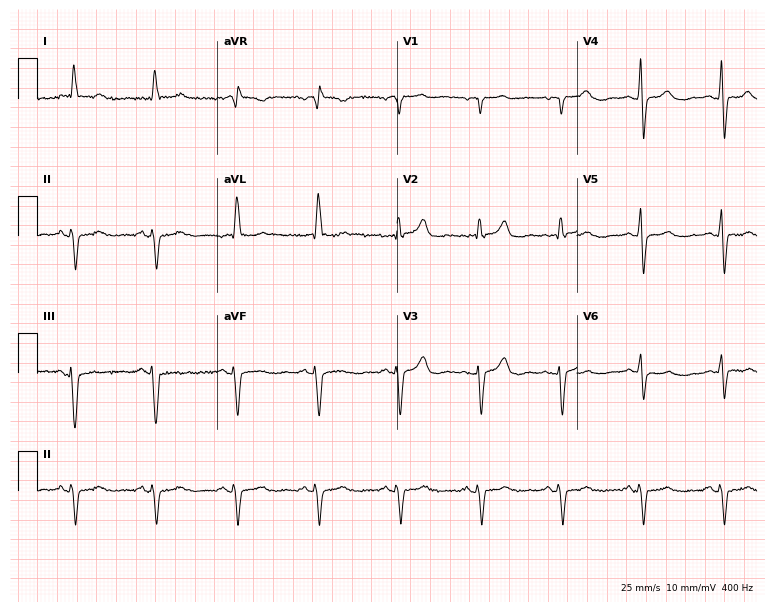
Electrocardiogram, a 77-year-old male. Of the six screened findings (first-degree AV block, right bundle branch block, left bundle branch block, sinus bradycardia, atrial fibrillation, sinus tachycardia), none is recorded.